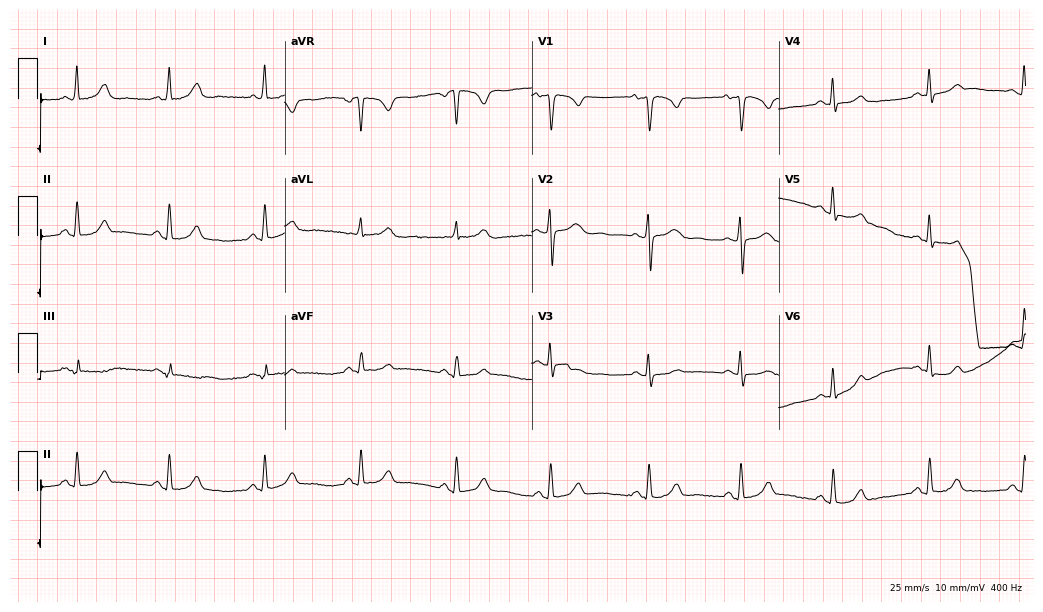
12-lead ECG from a female, 33 years old (10.1-second recording at 400 Hz). Recorded interpretation: within normal limits.